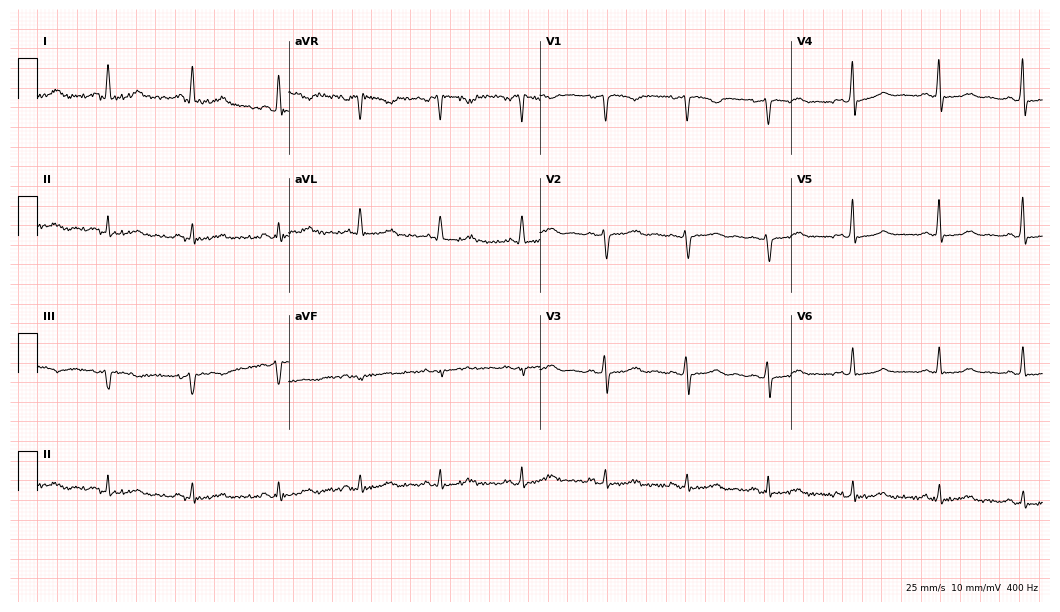
12-lead ECG from a 52-year-old female (10.2-second recording at 400 Hz). No first-degree AV block, right bundle branch block (RBBB), left bundle branch block (LBBB), sinus bradycardia, atrial fibrillation (AF) or sinus tachycardia recorded for this tracing.